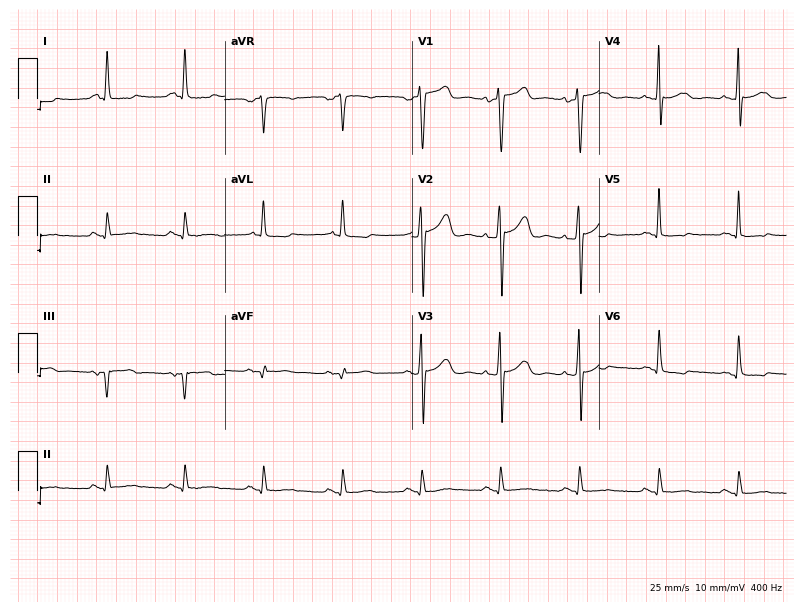
12-lead ECG from a female patient, 63 years old. Screened for six findings — first-degree AV block, right bundle branch block, left bundle branch block, sinus bradycardia, atrial fibrillation, sinus tachycardia — none is recorded. Findings outside these six are not listed.